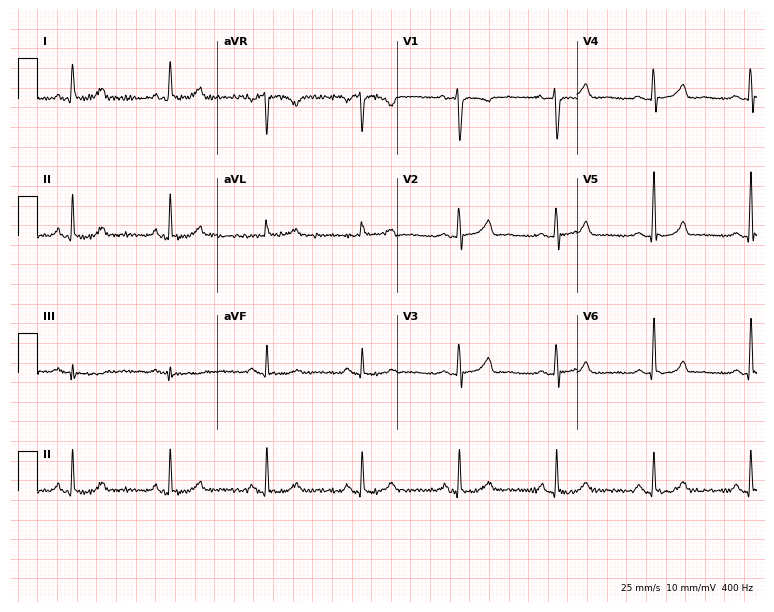
Resting 12-lead electrocardiogram. Patient: a female, 48 years old. Read as a normal ECG.